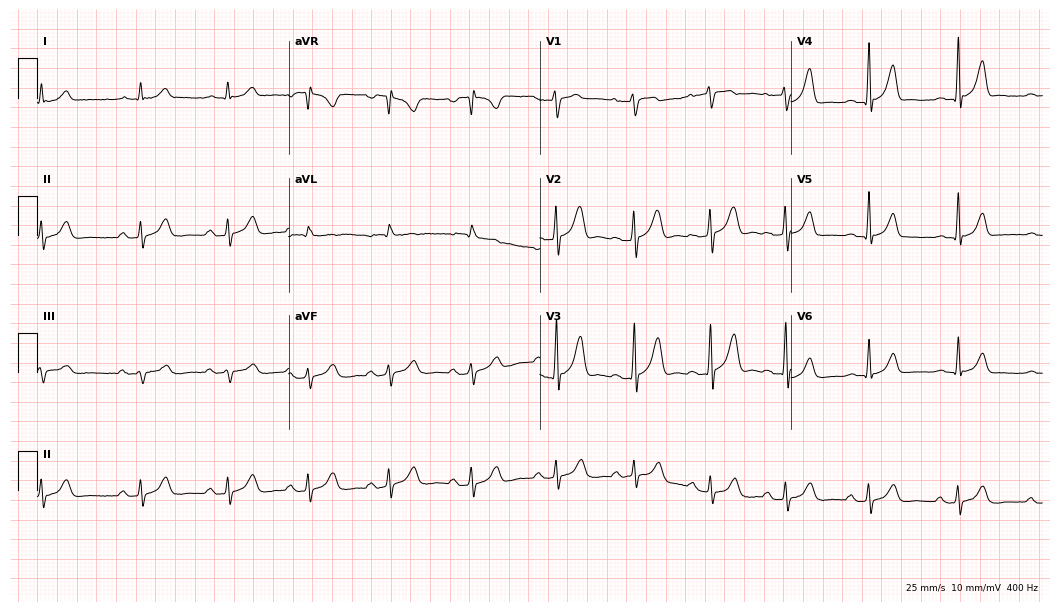
ECG (10.2-second recording at 400 Hz) — a 28-year-old man. Screened for six findings — first-degree AV block, right bundle branch block, left bundle branch block, sinus bradycardia, atrial fibrillation, sinus tachycardia — none is recorded.